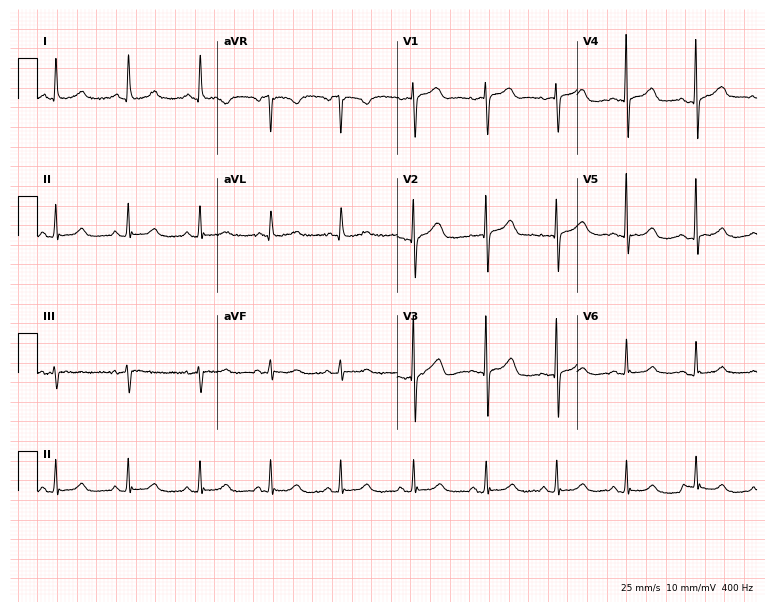
Resting 12-lead electrocardiogram (7.3-second recording at 400 Hz). Patient: a female, 74 years old. Read as a normal ECG.